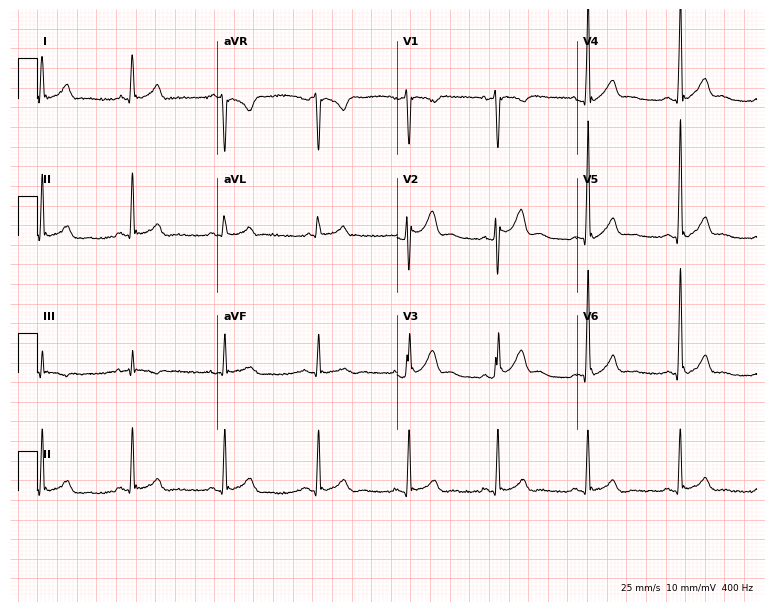
Electrocardiogram (7.3-second recording at 400 Hz), a man, 26 years old. Overall reading on record: normal ECG.